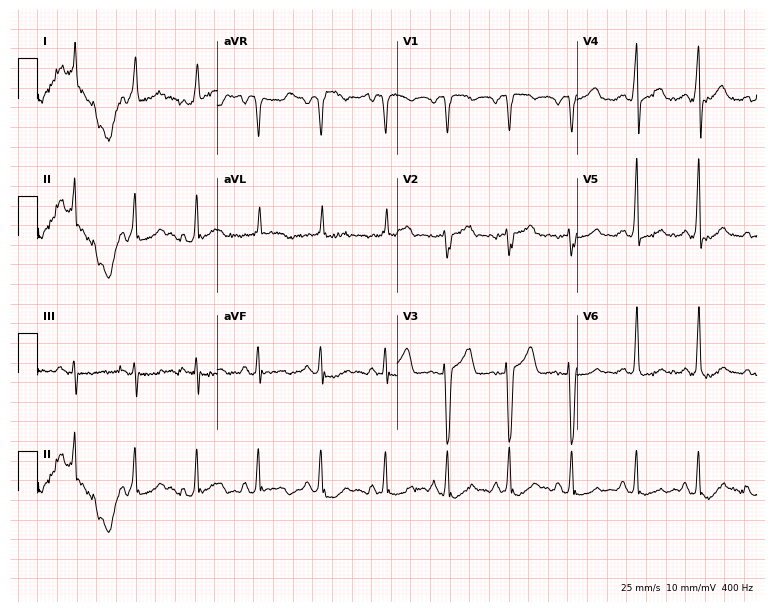
12-lead ECG (7.3-second recording at 400 Hz) from a 48-year-old male patient. Labelled as a normal ECG.